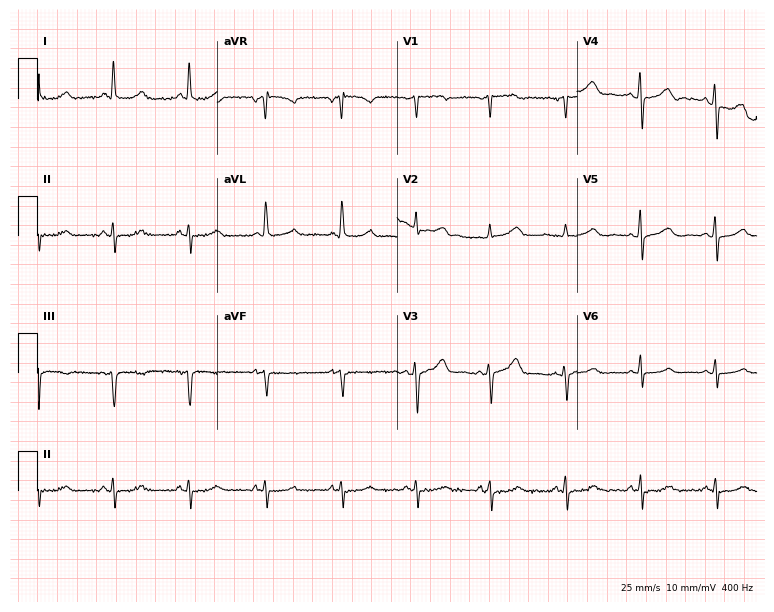
12-lead ECG from a woman, 57 years old. Screened for six findings — first-degree AV block, right bundle branch block, left bundle branch block, sinus bradycardia, atrial fibrillation, sinus tachycardia — none is recorded.